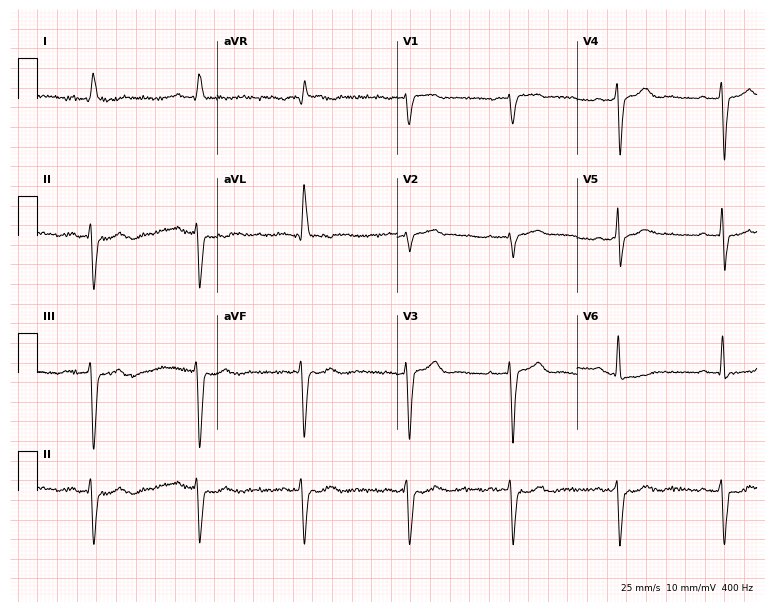
Resting 12-lead electrocardiogram. Patient: a male, 81 years old. None of these six findings is recorded: first-degree AV block, right bundle branch block, left bundle branch block, sinus bradycardia, atrial fibrillation, sinus tachycardia.